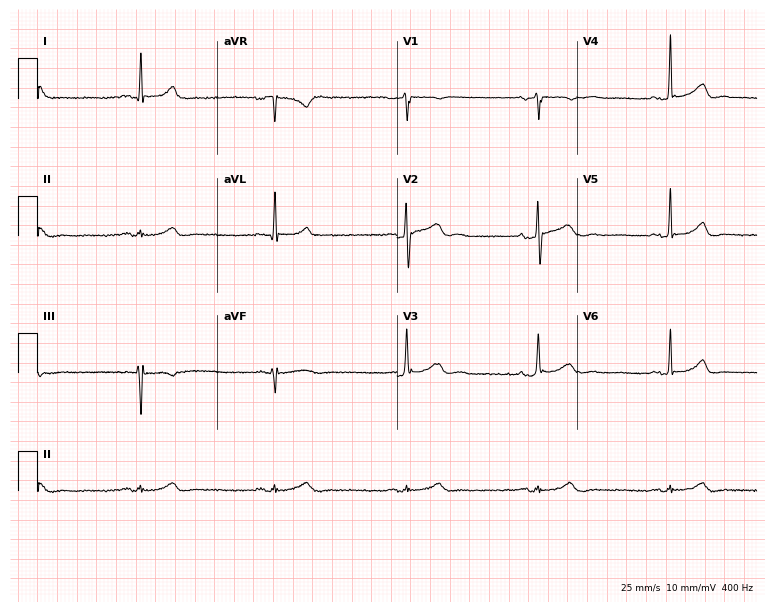
Standard 12-lead ECG recorded from a male, 52 years old (7.3-second recording at 400 Hz). The tracing shows sinus bradycardia (a sinus rate of 50 beats per minute or less).